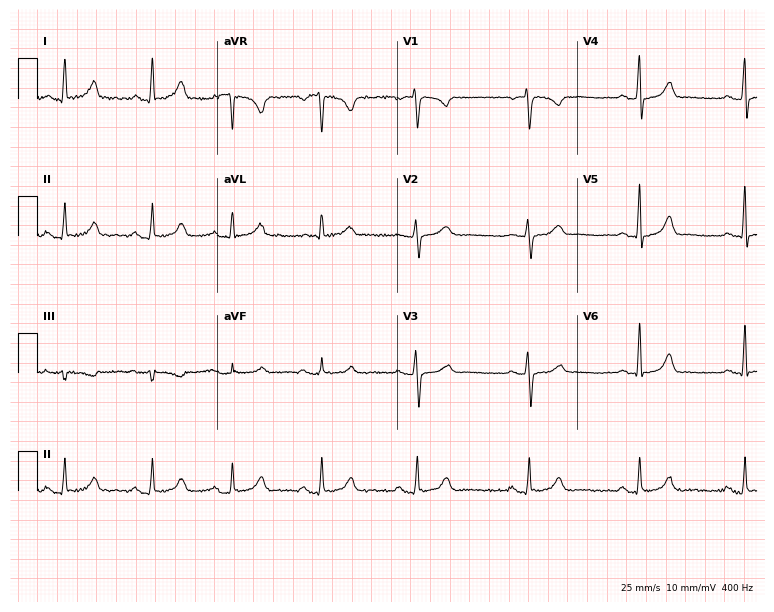
12-lead ECG from a woman, 48 years old. Recorded interpretation: within normal limits.